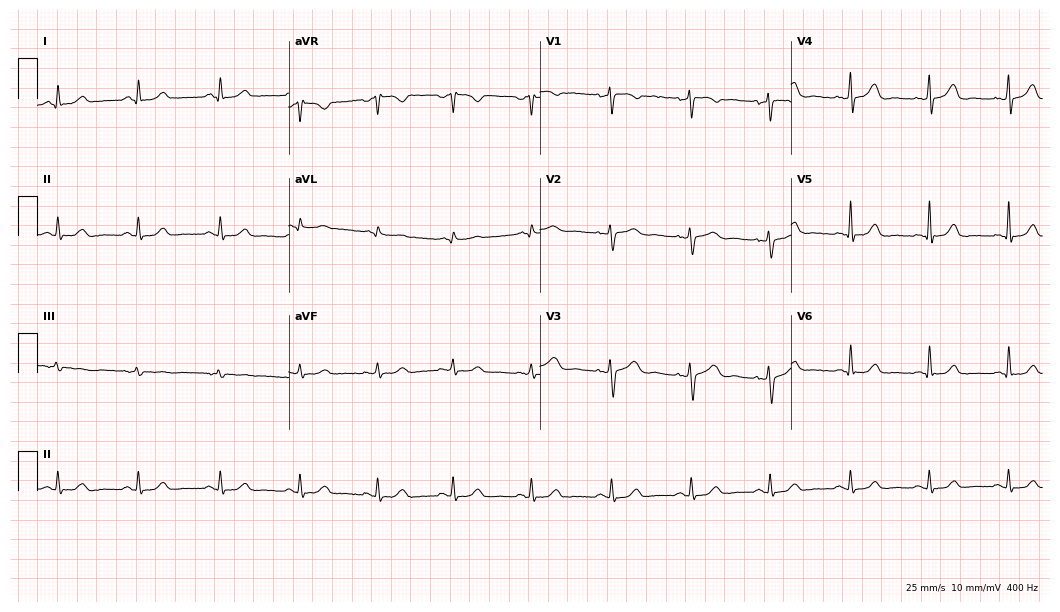
Electrocardiogram (10.2-second recording at 400 Hz), a 35-year-old female patient. Overall reading on record: normal ECG.